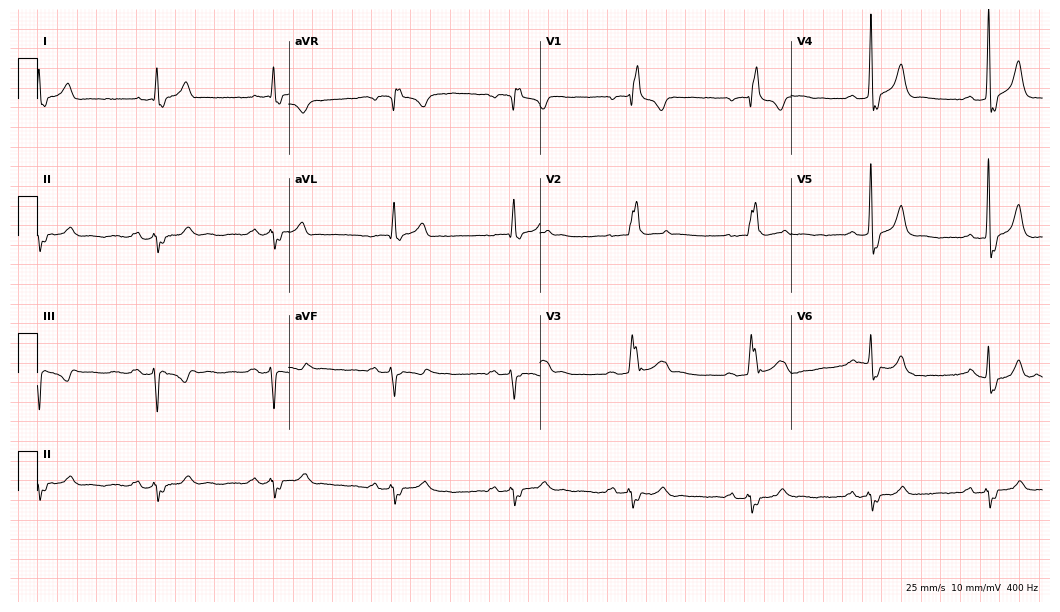
12-lead ECG from a male patient, 60 years old. Findings include right bundle branch block, left bundle branch block, sinus bradycardia (a sinus rate of 50 beats per minute or less).